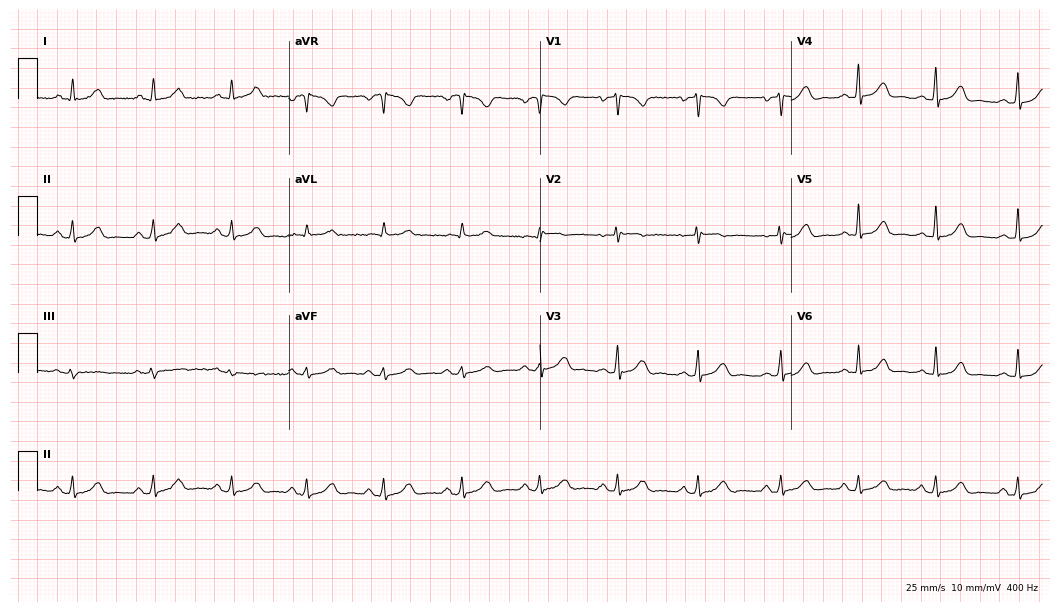
Electrocardiogram (10.2-second recording at 400 Hz), a female patient, 35 years old. Overall reading on record: normal ECG.